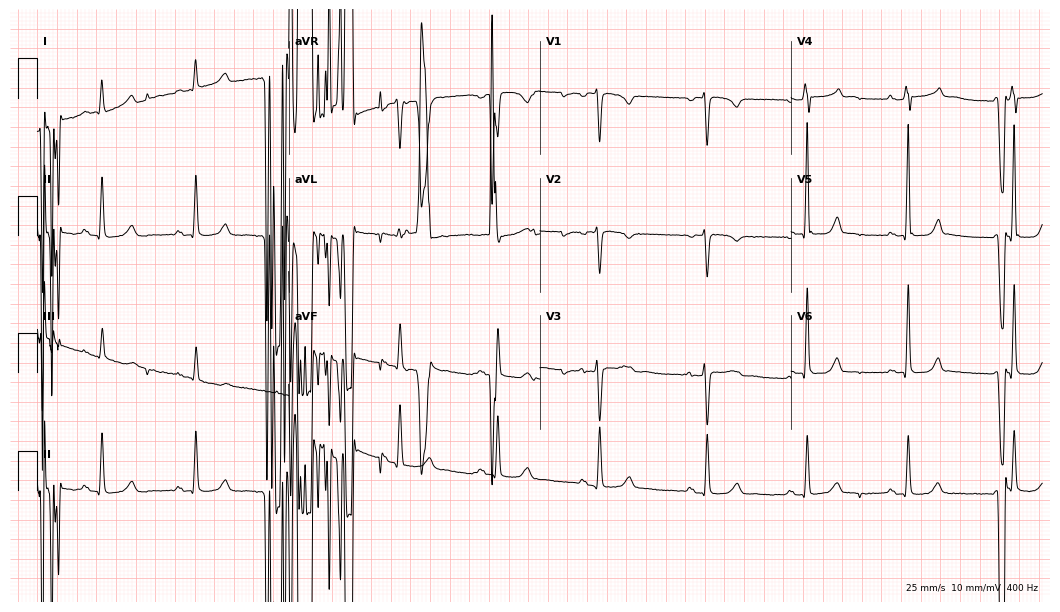
Resting 12-lead electrocardiogram. Patient: a female, 31 years old. None of these six findings is recorded: first-degree AV block, right bundle branch block, left bundle branch block, sinus bradycardia, atrial fibrillation, sinus tachycardia.